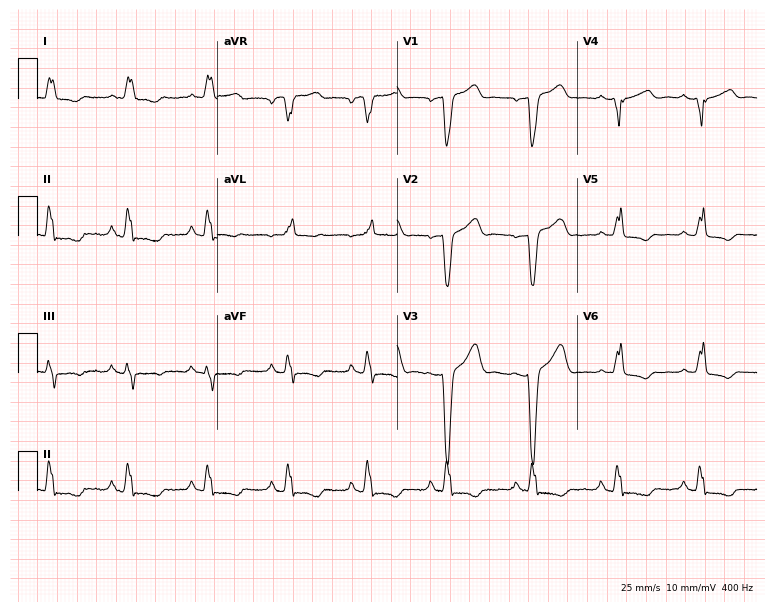
12-lead ECG from an 82-year-old female patient (7.3-second recording at 400 Hz). Shows left bundle branch block.